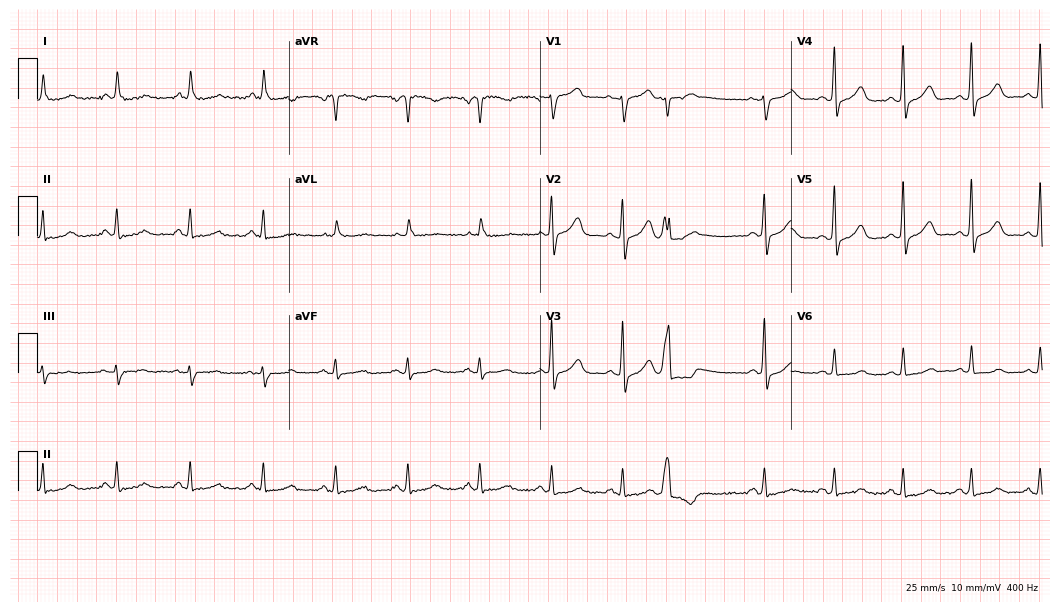
Standard 12-lead ECG recorded from a 60-year-old female (10.2-second recording at 400 Hz). None of these six findings is recorded: first-degree AV block, right bundle branch block (RBBB), left bundle branch block (LBBB), sinus bradycardia, atrial fibrillation (AF), sinus tachycardia. Other findings, if any, are not listed.